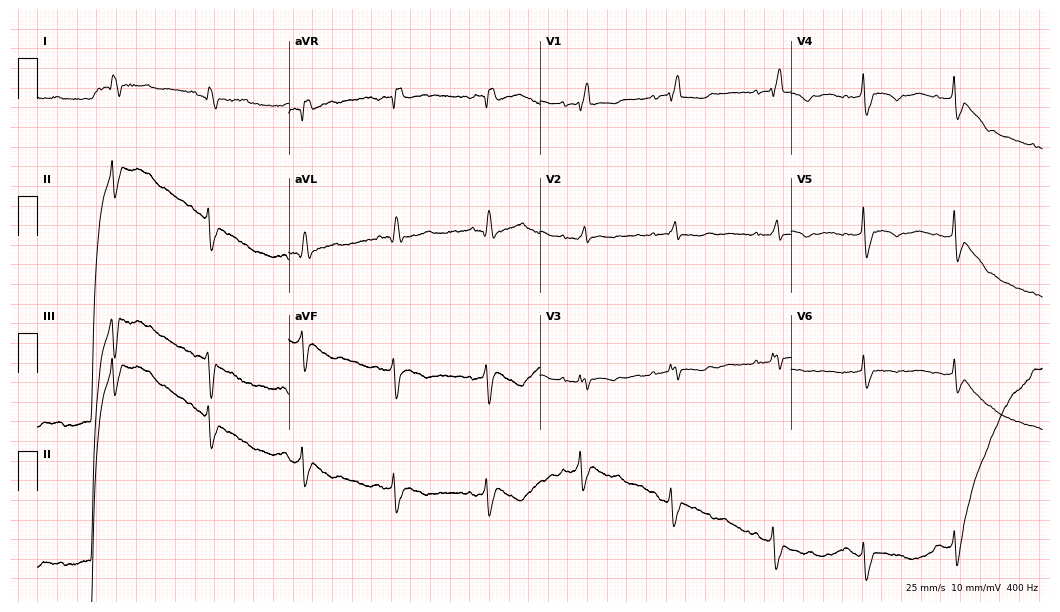
ECG (10.2-second recording at 400 Hz) — a female, 65 years old. Screened for six findings — first-degree AV block, right bundle branch block, left bundle branch block, sinus bradycardia, atrial fibrillation, sinus tachycardia — none is recorded. Findings outside these six are not listed.